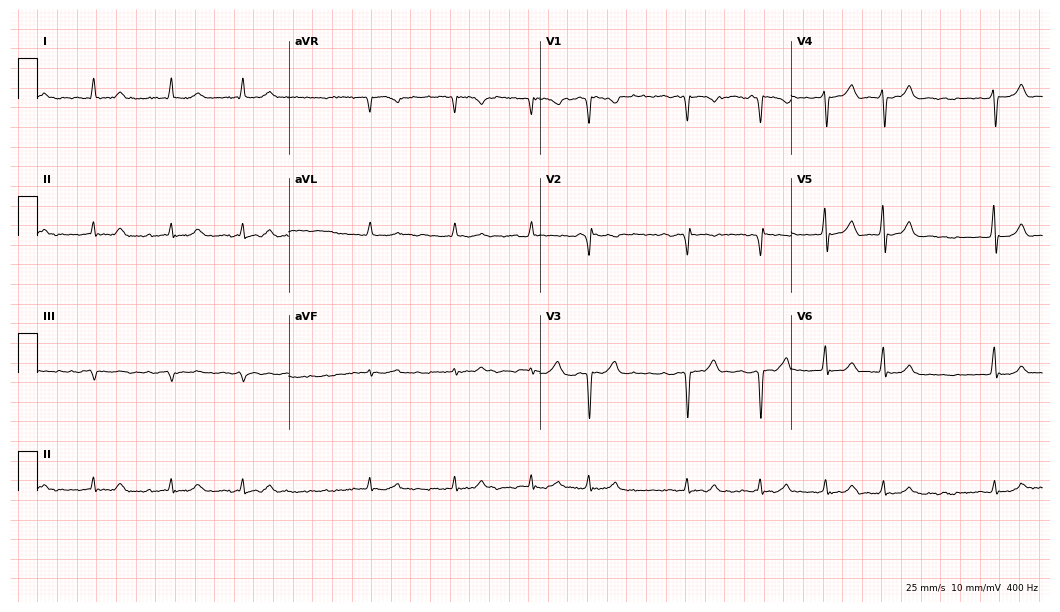
12-lead ECG from a 61-year-old male. Shows atrial fibrillation (AF).